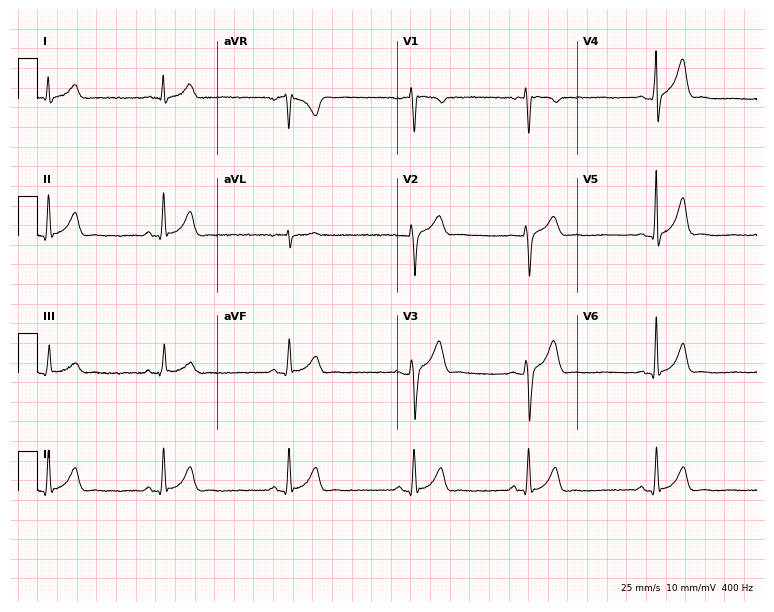
Resting 12-lead electrocardiogram. Patient: a male, 25 years old. The tracing shows sinus bradycardia (a sinus rate of 50 beats per minute or less).